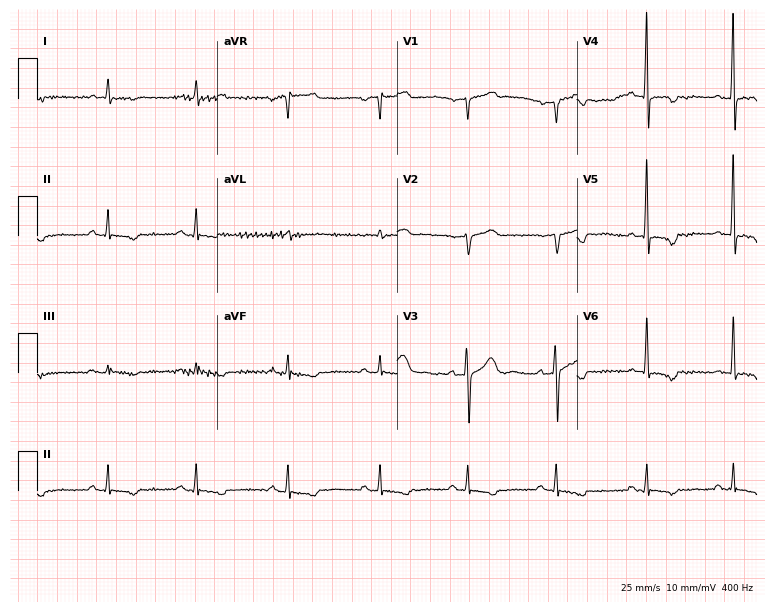
12-lead ECG from a male patient, 58 years old (7.3-second recording at 400 Hz). No first-degree AV block, right bundle branch block (RBBB), left bundle branch block (LBBB), sinus bradycardia, atrial fibrillation (AF) or sinus tachycardia recorded for this tracing.